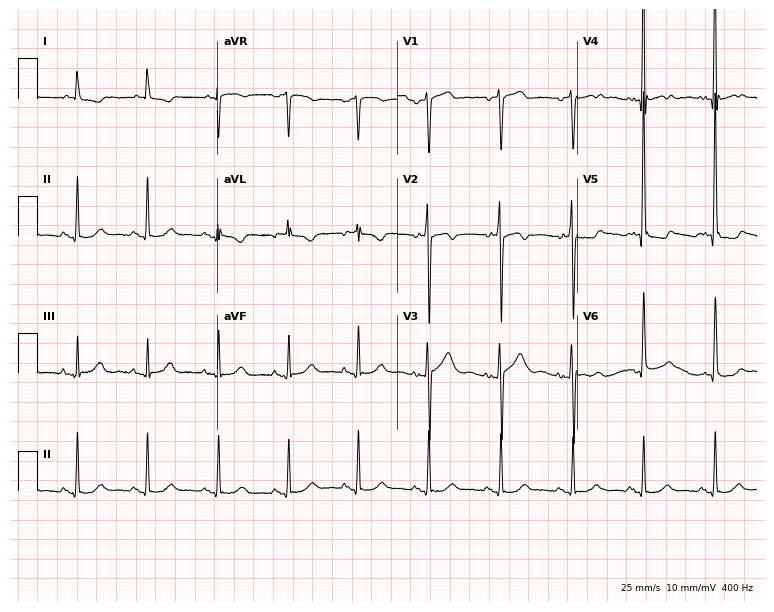
Resting 12-lead electrocardiogram. Patient: an 82-year-old male. None of these six findings is recorded: first-degree AV block, right bundle branch block, left bundle branch block, sinus bradycardia, atrial fibrillation, sinus tachycardia. Findings outside these six are not listed.